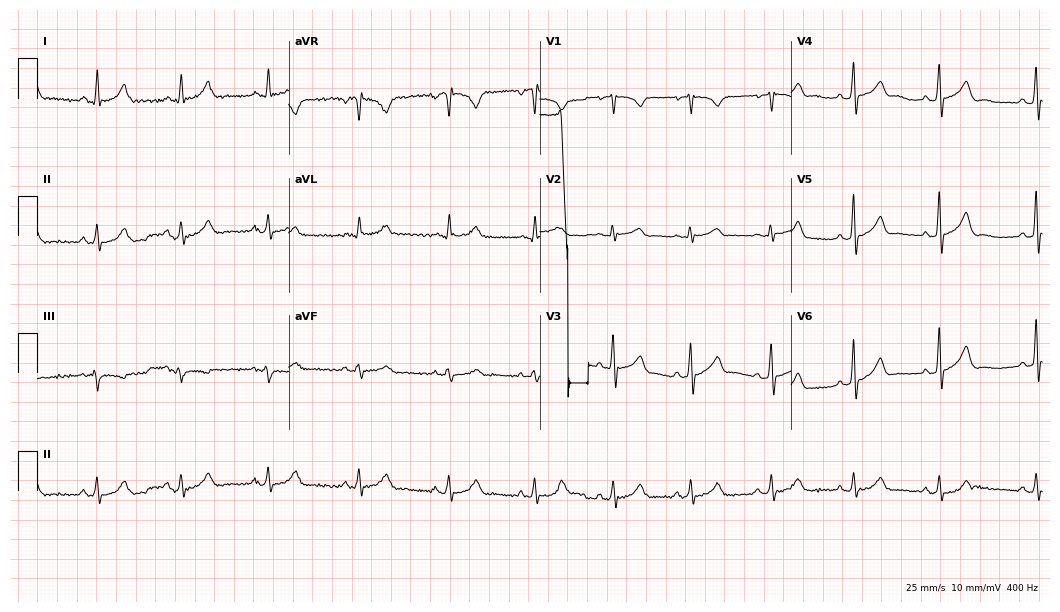
ECG — a male patient, 39 years old. Screened for six findings — first-degree AV block, right bundle branch block, left bundle branch block, sinus bradycardia, atrial fibrillation, sinus tachycardia — none is recorded. Findings outside these six are not listed.